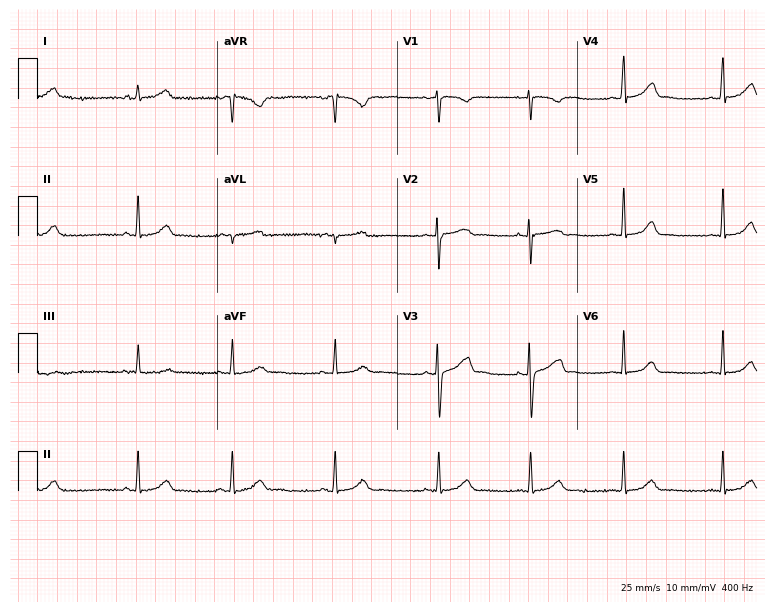
ECG (7.3-second recording at 400 Hz) — a female patient, 25 years old. Labelled as a normal ECG.